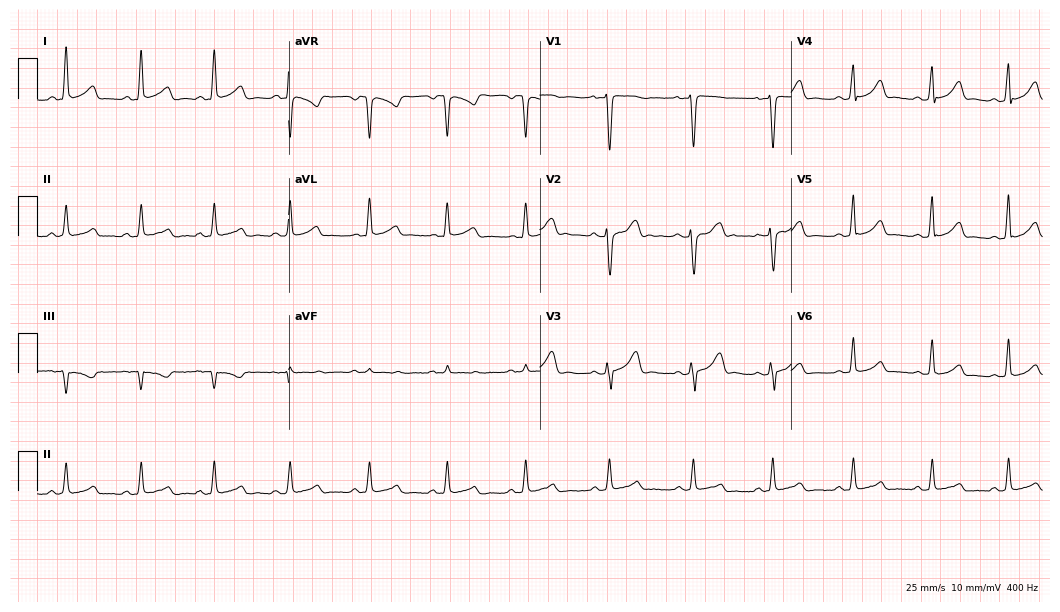
Electrocardiogram, a female, 33 years old. Overall reading on record: normal ECG.